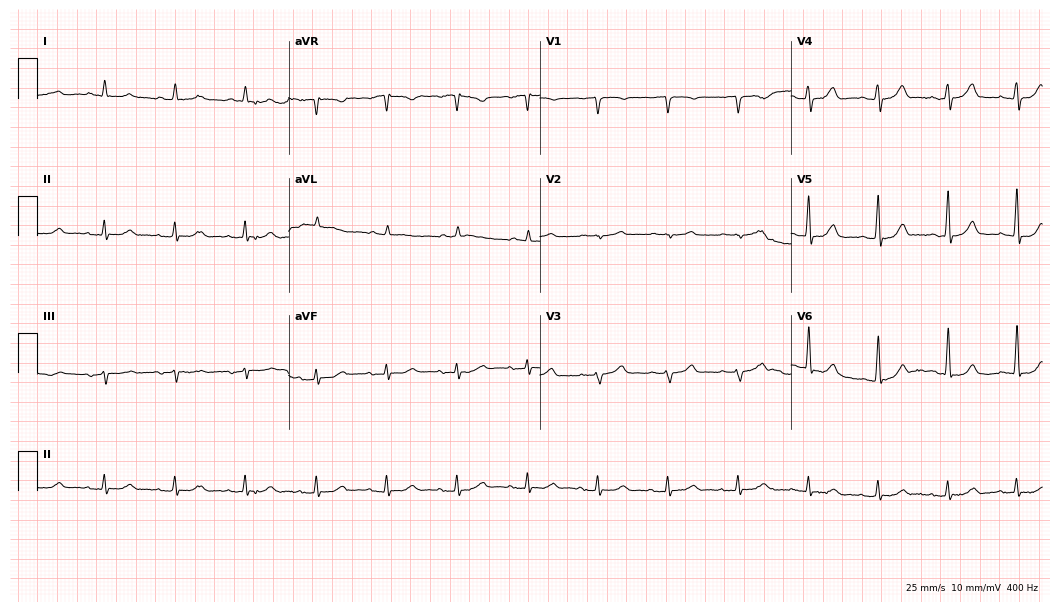
Electrocardiogram (10.2-second recording at 400 Hz), an 80-year-old male patient. Overall reading on record: normal ECG.